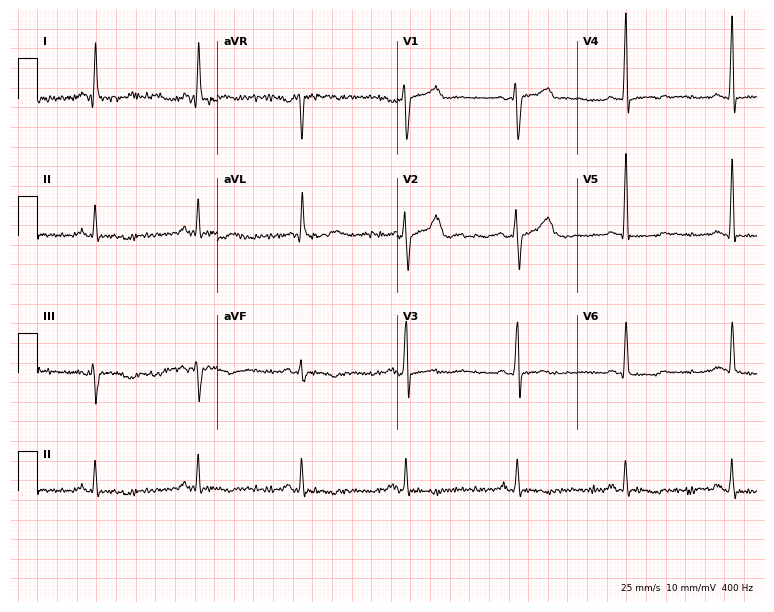
Resting 12-lead electrocardiogram (7.3-second recording at 400 Hz). Patient: a 60-year-old male. None of these six findings is recorded: first-degree AV block, right bundle branch block, left bundle branch block, sinus bradycardia, atrial fibrillation, sinus tachycardia.